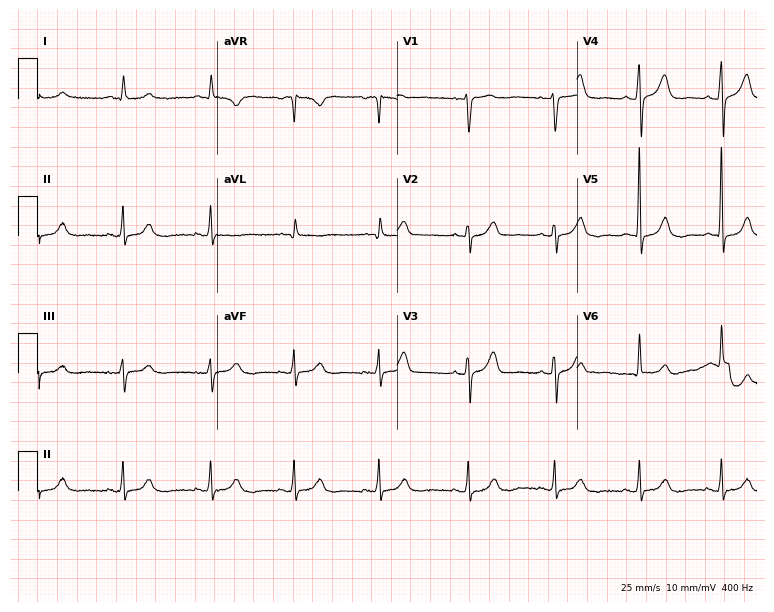
Electrocardiogram, a 68-year-old female. Overall reading on record: normal ECG.